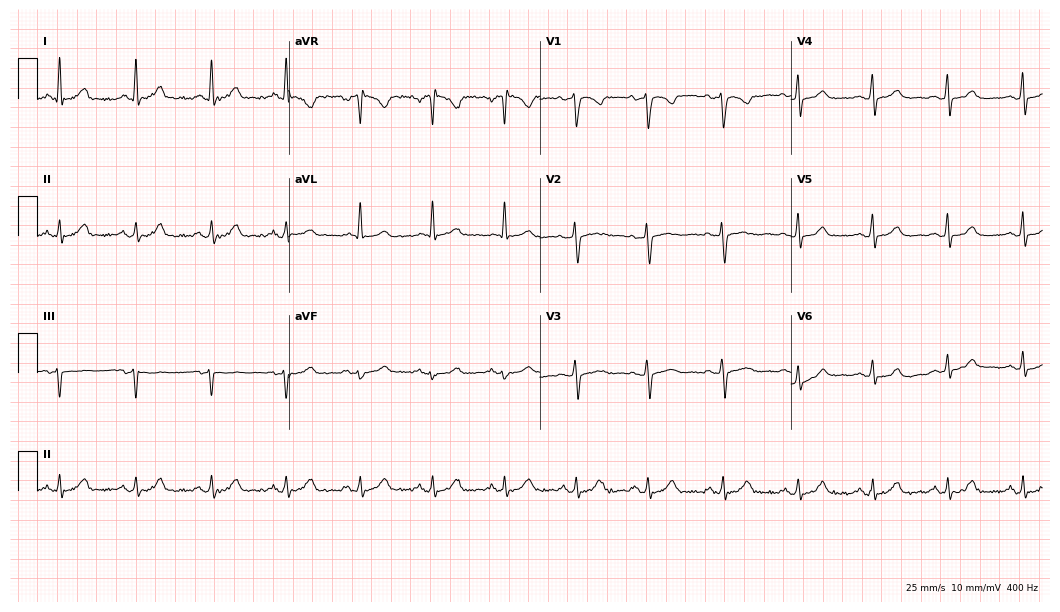
ECG — a female, 55 years old. Labelled as a normal ECG.